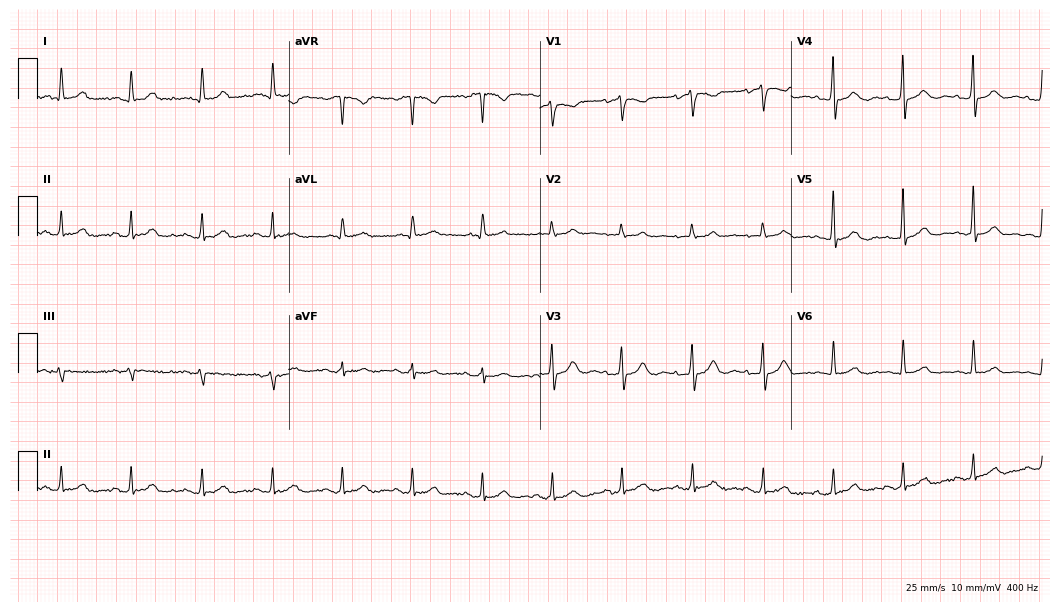
Electrocardiogram, a man, 76 years old. Overall reading on record: normal ECG.